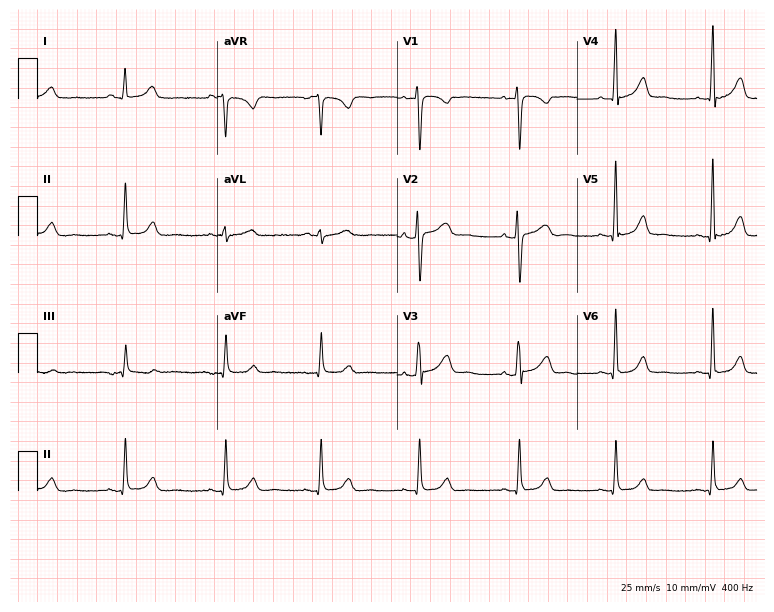
Resting 12-lead electrocardiogram (7.3-second recording at 400 Hz). Patient: a female, 43 years old. Read as a normal ECG.